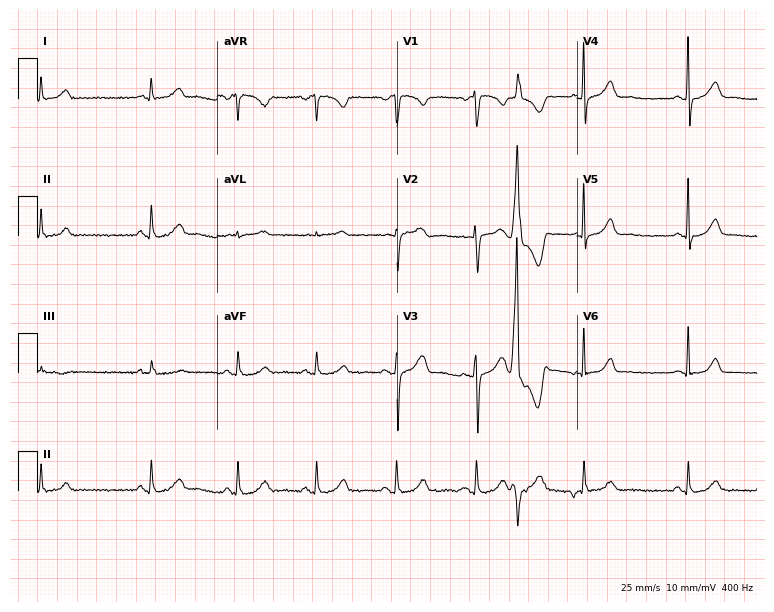
Standard 12-lead ECG recorded from a 51-year-old woman (7.3-second recording at 400 Hz). None of these six findings is recorded: first-degree AV block, right bundle branch block (RBBB), left bundle branch block (LBBB), sinus bradycardia, atrial fibrillation (AF), sinus tachycardia. Only these six findings were labelled.